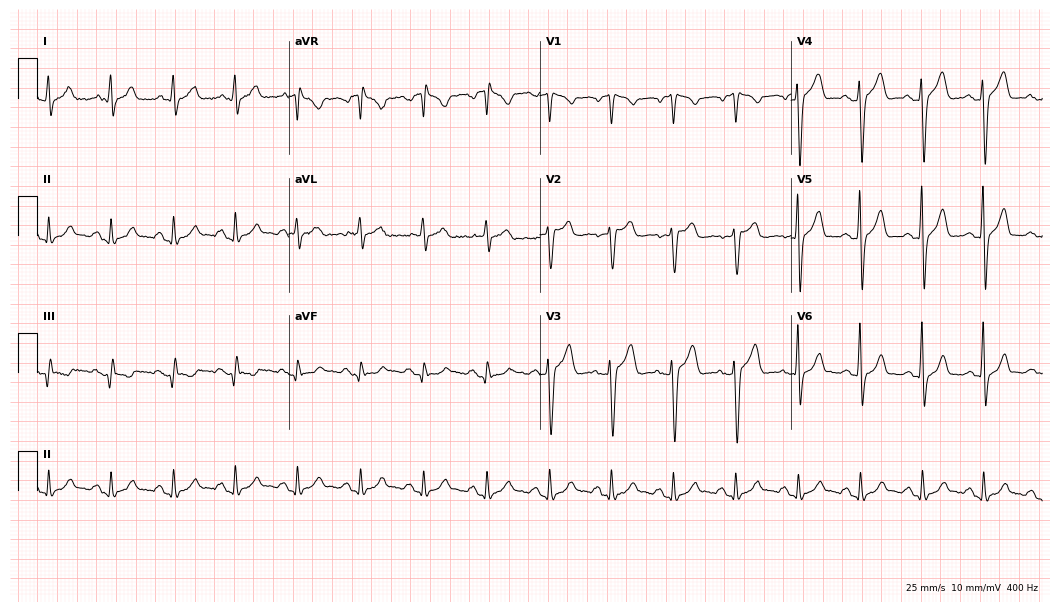
Electrocardiogram, a male, 65 years old. Overall reading on record: normal ECG.